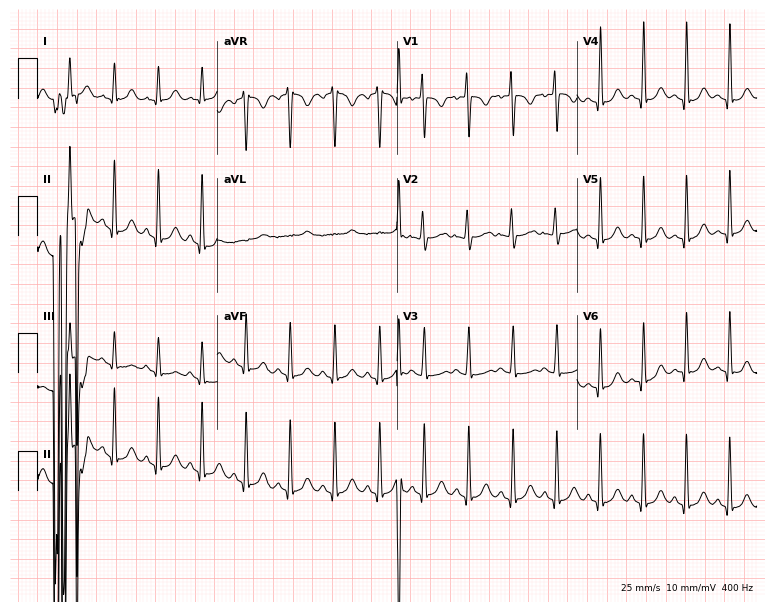
Resting 12-lead electrocardiogram (7.3-second recording at 400 Hz). Patient: a 19-year-old woman. The tracing shows sinus tachycardia (a sinus rate of 100 beats per minute or more).